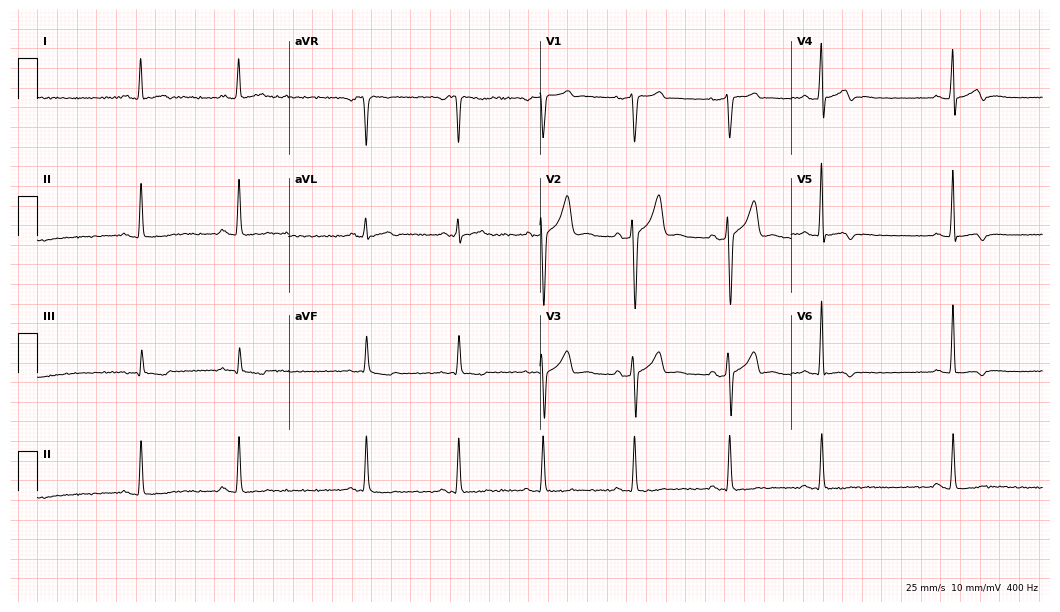
12-lead ECG (10.2-second recording at 400 Hz) from a man, 29 years old. Screened for six findings — first-degree AV block, right bundle branch block, left bundle branch block, sinus bradycardia, atrial fibrillation, sinus tachycardia — none is recorded.